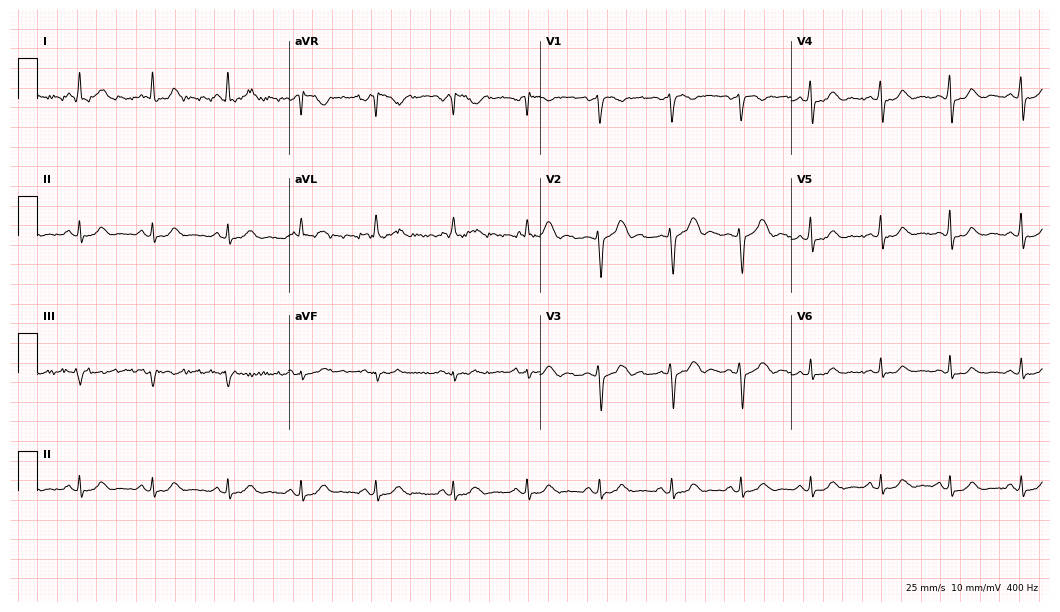
Resting 12-lead electrocardiogram (10.2-second recording at 400 Hz). Patient: a 33-year-old female. Read as a normal ECG.